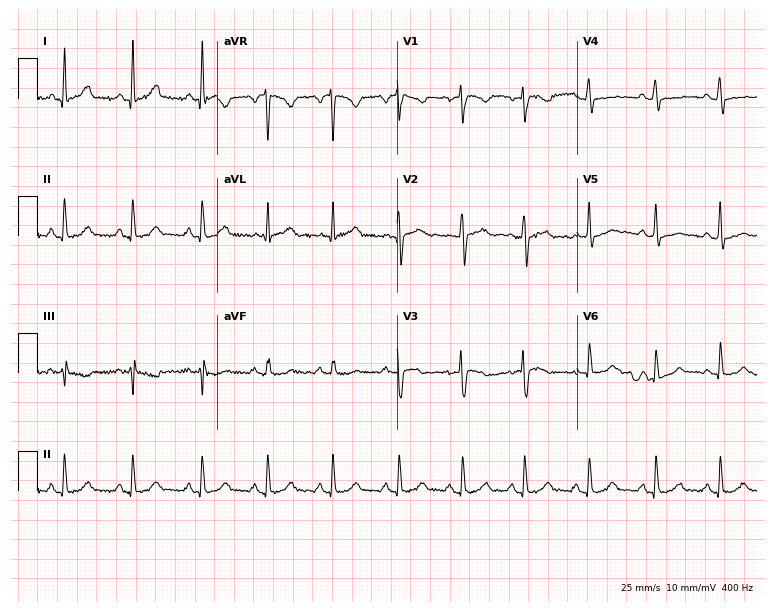
Resting 12-lead electrocardiogram (7.3-second recording at 400 Hz). Patient: a 22-year-old female. Read as a normal ECG.